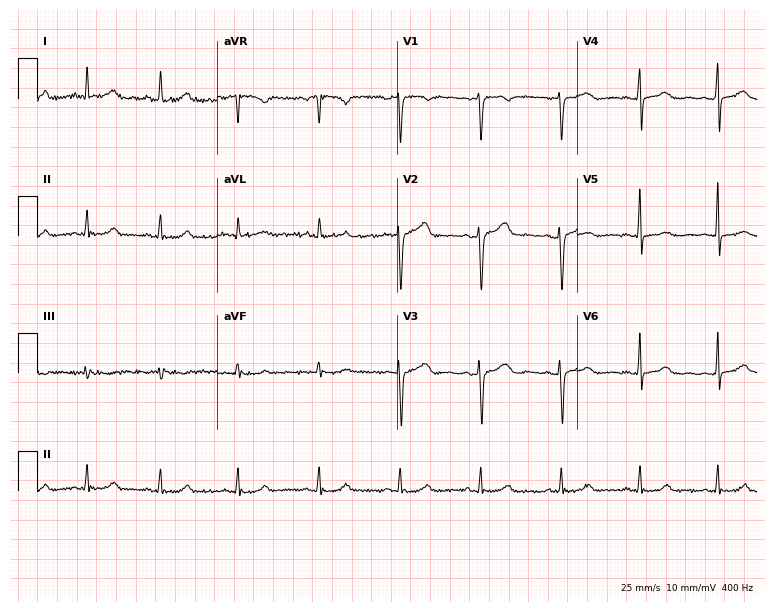
12-lead ECG from a woman, 48 years old. Screened for six findings — first-degree AV block, right bundle branch block, left bundle branch block, sinus bradycardia, atrial fibrillation, sinus tachycardia — none is recorded.